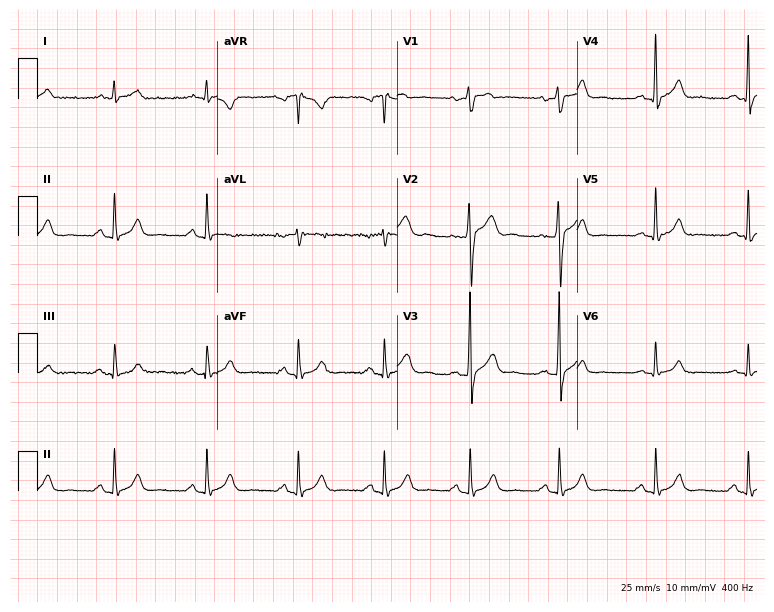
ECG — a male, 37 years old. Labelled as a normal ECG.